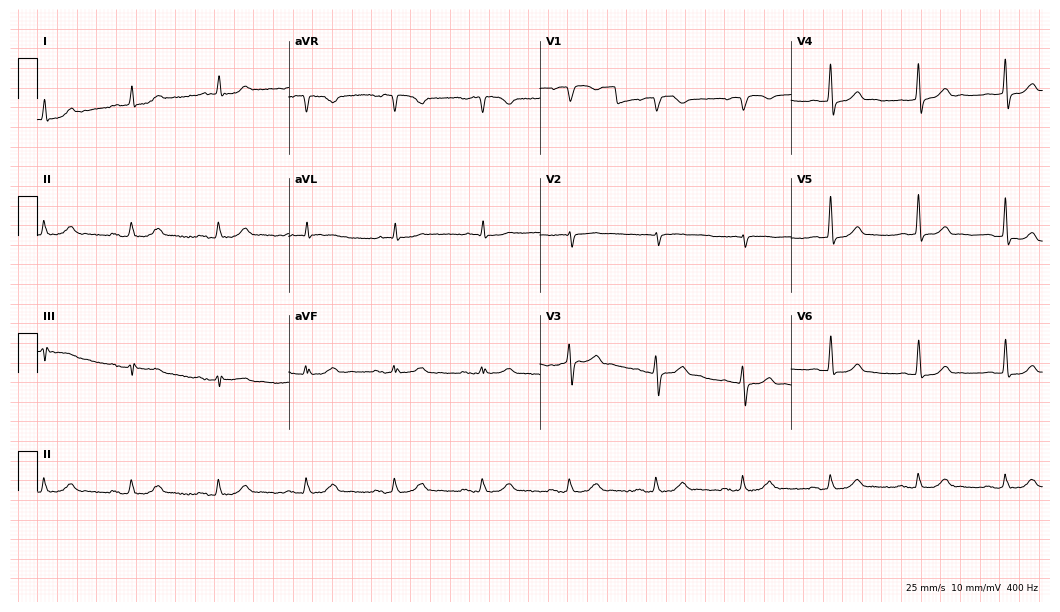
Standard 12-lead ECG recorded from a male patient, 79 years old (10.2-second recording at 400 Hz). Read as a normal ECG.